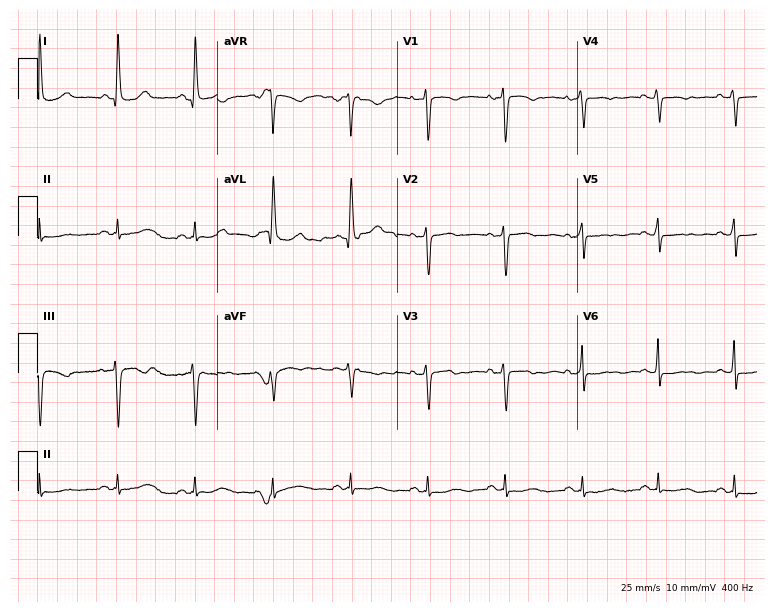
12-lead ECG from a woman, 67 years old. No first-degree AV block, right bundle branch block (RBBB), left bundle branch block (LBBB), sinus bradycardia, atrial fibrillation (AF) or sinus tachycardia recorded for this tracing.